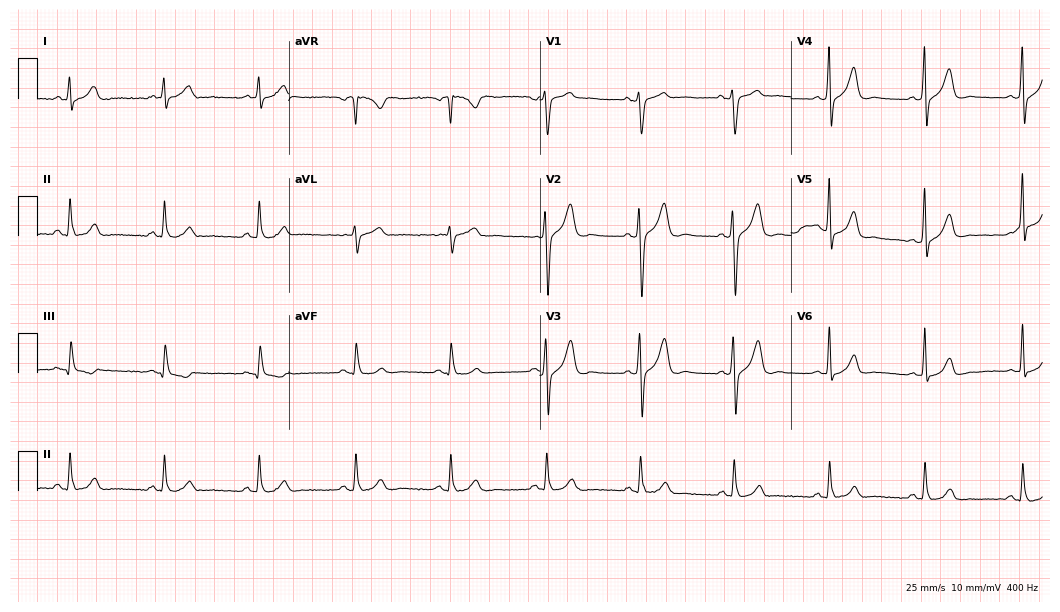
ECG — a male, 49 years old. Labelled as a normal ECG.